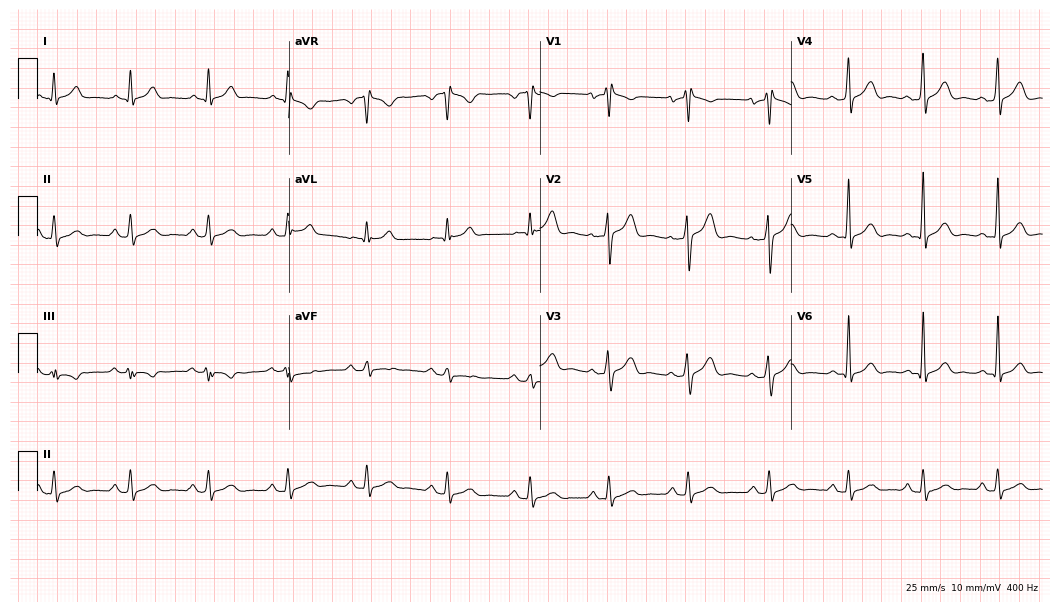
12-lead ECG (10.2-second recording at 400 Hz) from a male, 44 years old. Screened for six findings — first-degree AV block, right bundle branch block, left bundle branch block, sinus bradycardia, atrial fibrillation, sinus tachycardia — none is recorded. Findings outside these six are not listed.